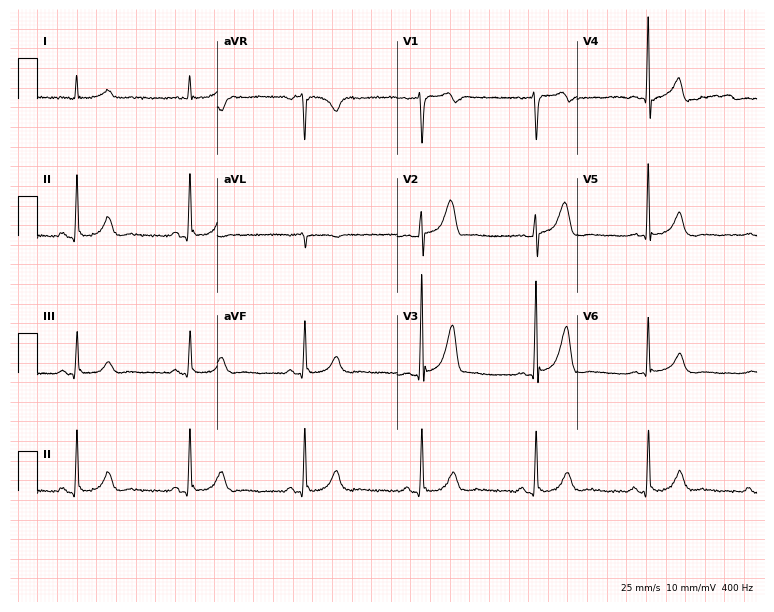
Standard 12-lead ECG recorded from a male patient, 69 years old. Read as a normal ECG.